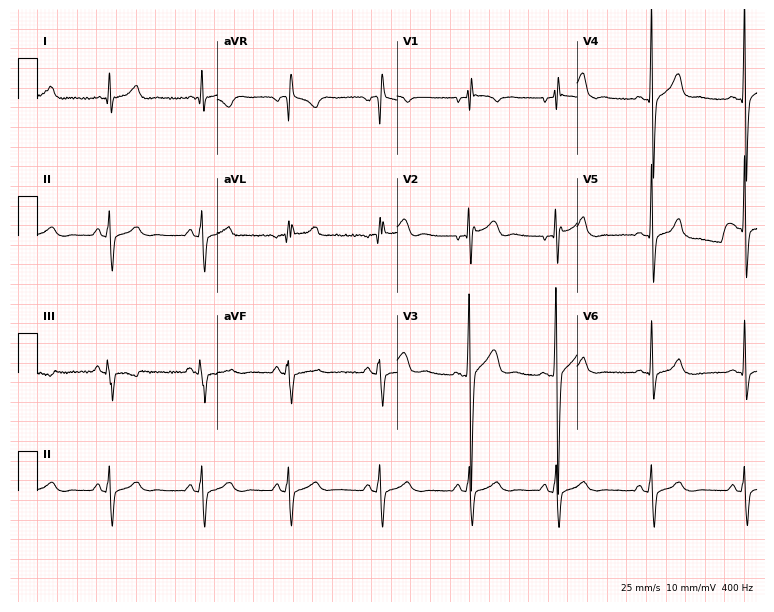
Electrocardiogram (7.3-second recording at 400 Hz), an 18-year-old male. Of the six screened findings (first-degree AV block, right bundle branch block, left bundle branch block, sinus bradycardia, atrial fibrillation, sinus tachycardia), none is recorded.